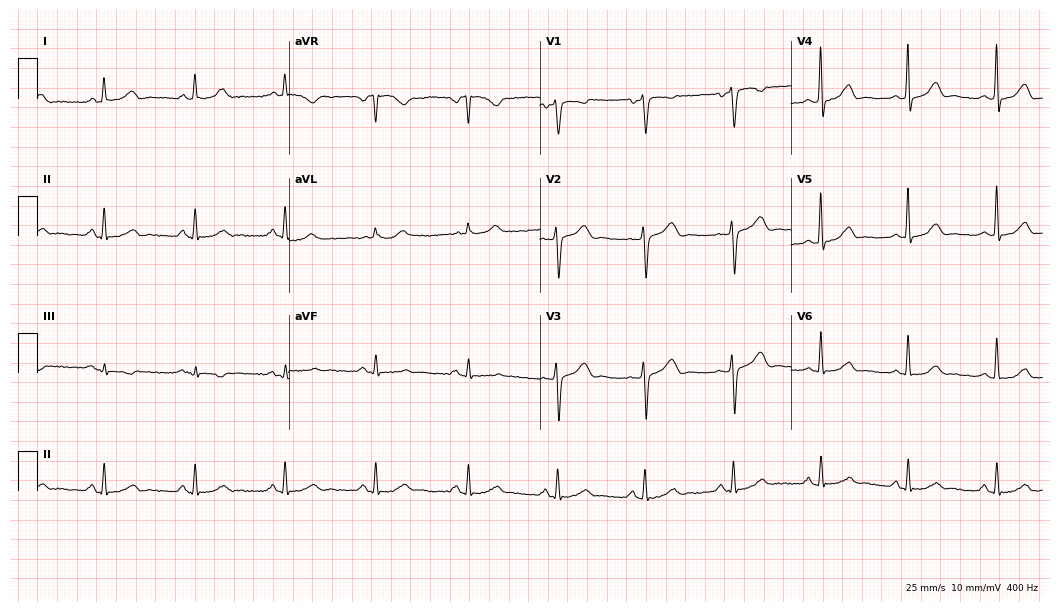
Standard 12-lead ECG recorded from a male, 49 years old. Read as a normal ECG.